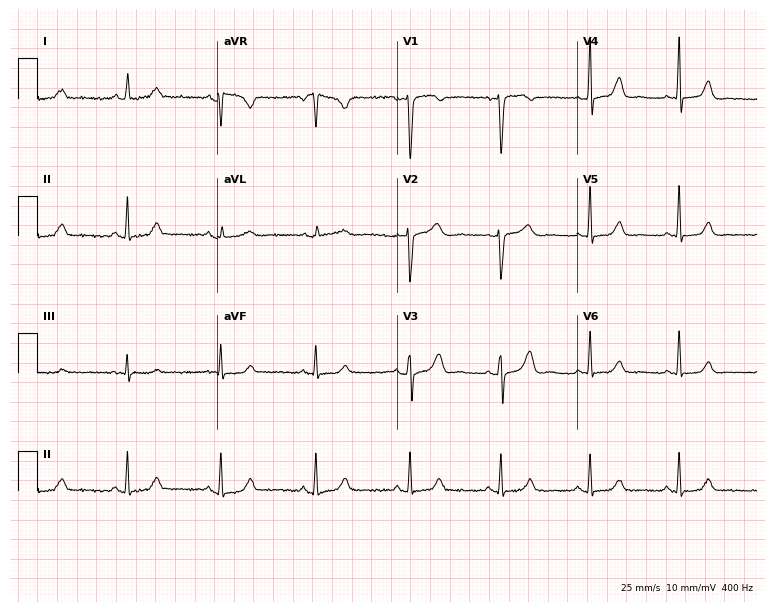
Resting 12-lead electrocardiogram. Patient: a 48-year-old female. None of these six findings is recorded: first-degree AV block, right bundle branch block (RBBB), left bundle branch block (LBBB), sinus bradycardia, atrial fibrillation (AF), sinus tachycardia. Findings outside these six are not listed.